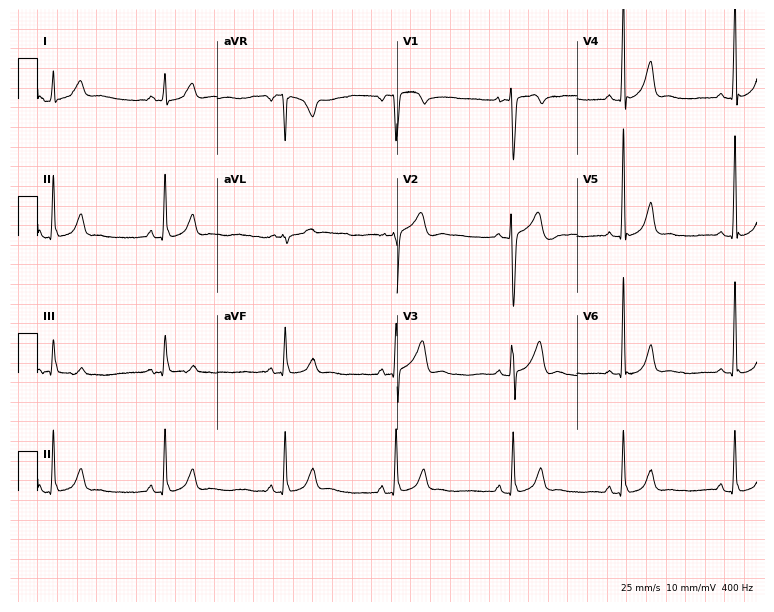
Resting 12-lead electrocardiogram (7.3-second recording at 400 Hz). Patient: a 30-year-old man. None of these six findings is recorded: first-degree AV block, right bundle branch block, left bundle branch block, sinus bradycardia, atrial fibrillation, sinus tachycardia. Only these six findings were labelled.